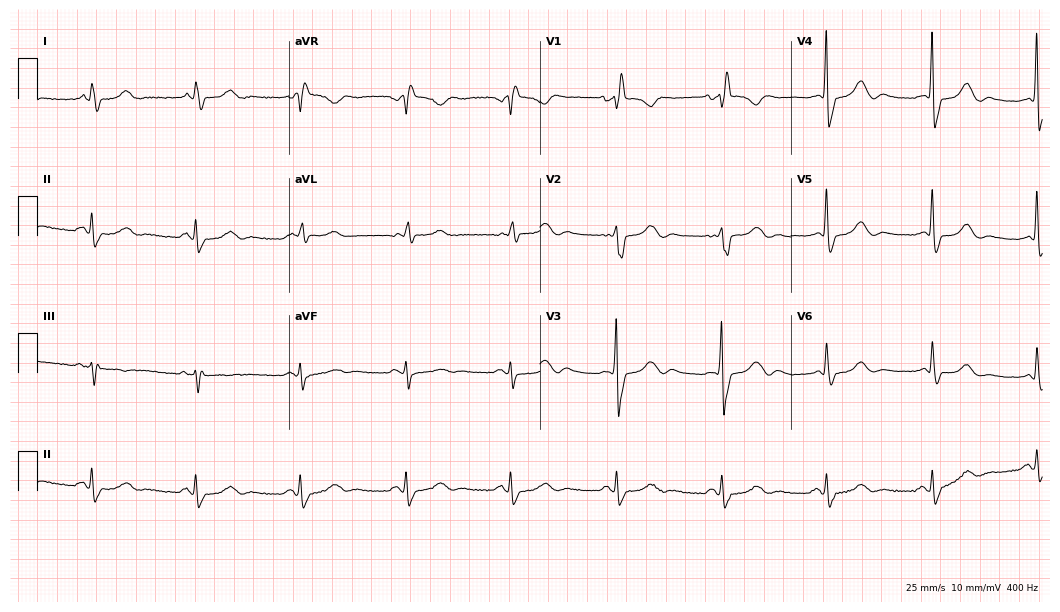
Resting 12-lead electrocardiogram. Patient: an 82-year-old female. The tracing shows right bundle branch block (RBBB).